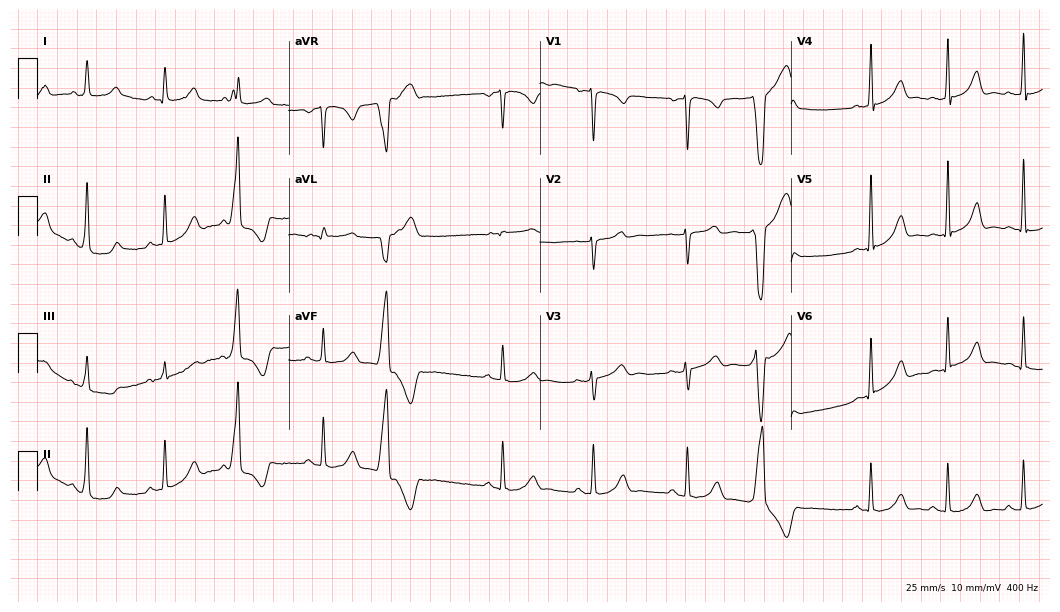
Electrocardiogram (10.2-second recording at 400 Hz), a 36-year-old female. Overall reading on record: normal ECG.